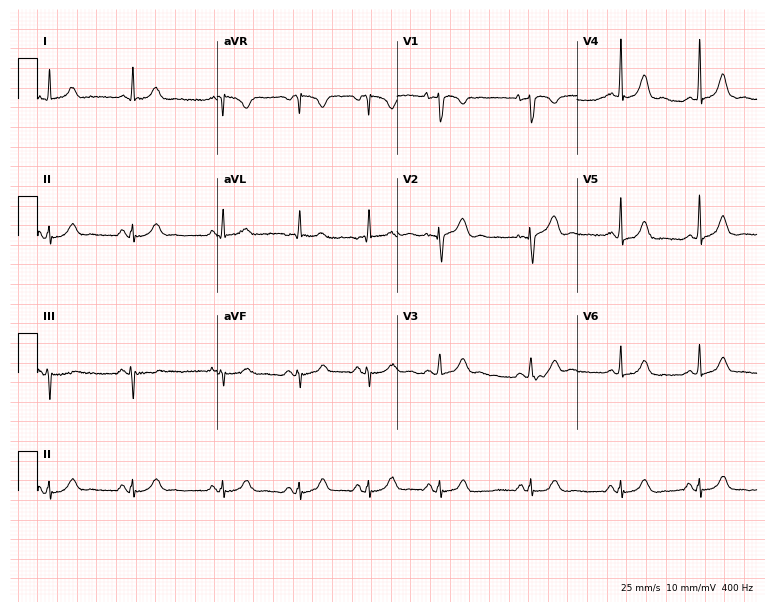
Electrocardiogram (7.3-second recording at 400 Hz), a 35-year-old female. Overall reading on record: normal ECG.